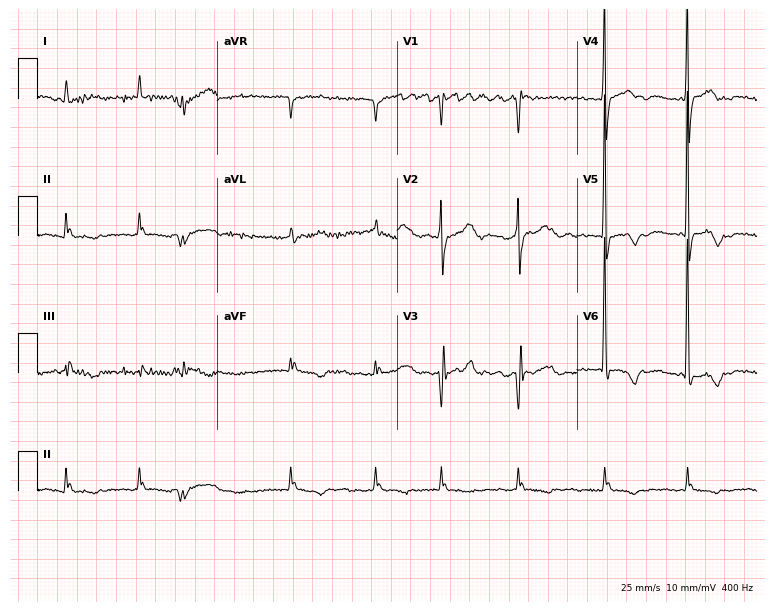
Standard 12-lead ECG recorded from an 83-year-old woman (7.3-second recording at 400 Hz). The tracing shows atrial fibrillation (AF).